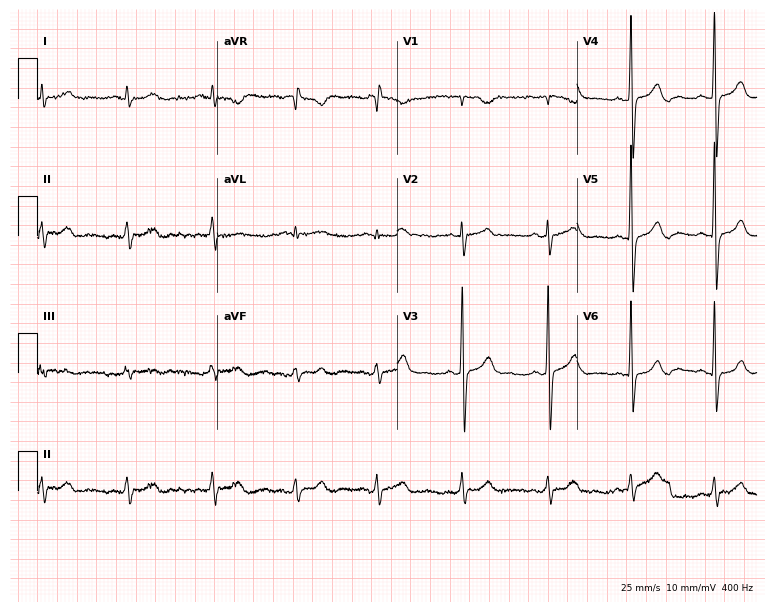
Electrocardiogram (7.3-second recording at 400 Hz), a man, 42 years old. Overall reading on record: normal ECG.